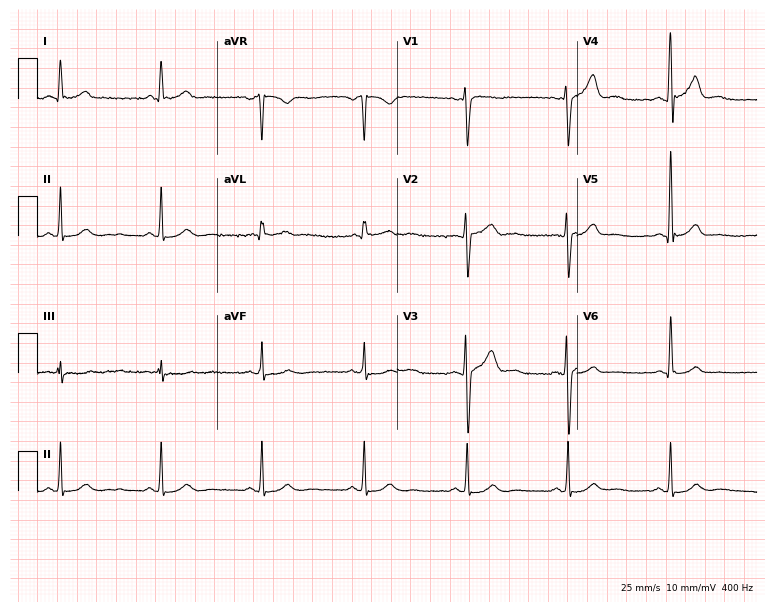
12-lead ECG (7.3-second recording at 400 Hz) from a 44-year-old man. Screened for six findings — first-degree AV block, right bundle branch block, left bundle branch block, sinus bradycardia, atrial fibrillation, sinus tachycardia — none is recorded.